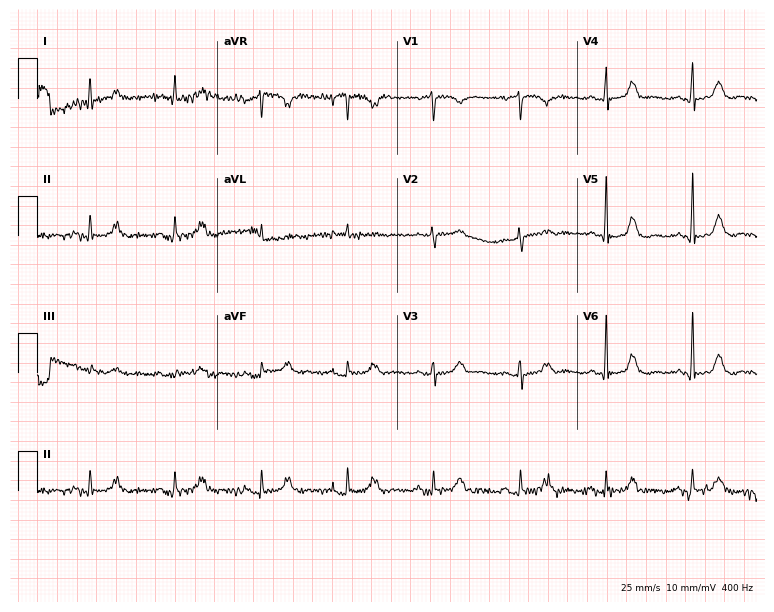
12-lead ECG (7.3-second recording at 400 Hz) from an 82-year-old female. Screened for six findings — first-degree AV block, right bundle branch block, left bundle branch block, sinus bradycardia, atrial fibrillation, sinus tachycardia — none is recorded. Only these six findings were labelled.